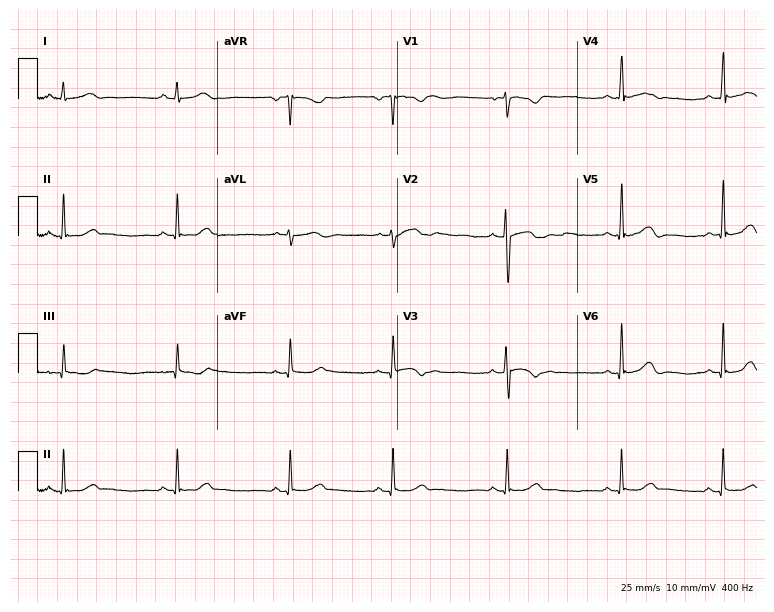
ECG — a female, 17 years old. Labelled as a normal ECG.